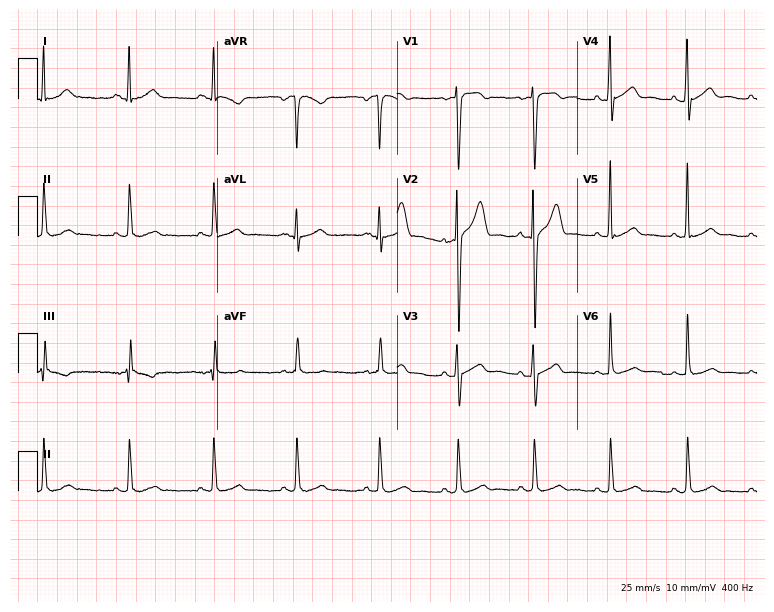
ECG — a man, 29 years old. Labelled as a normal ECG.